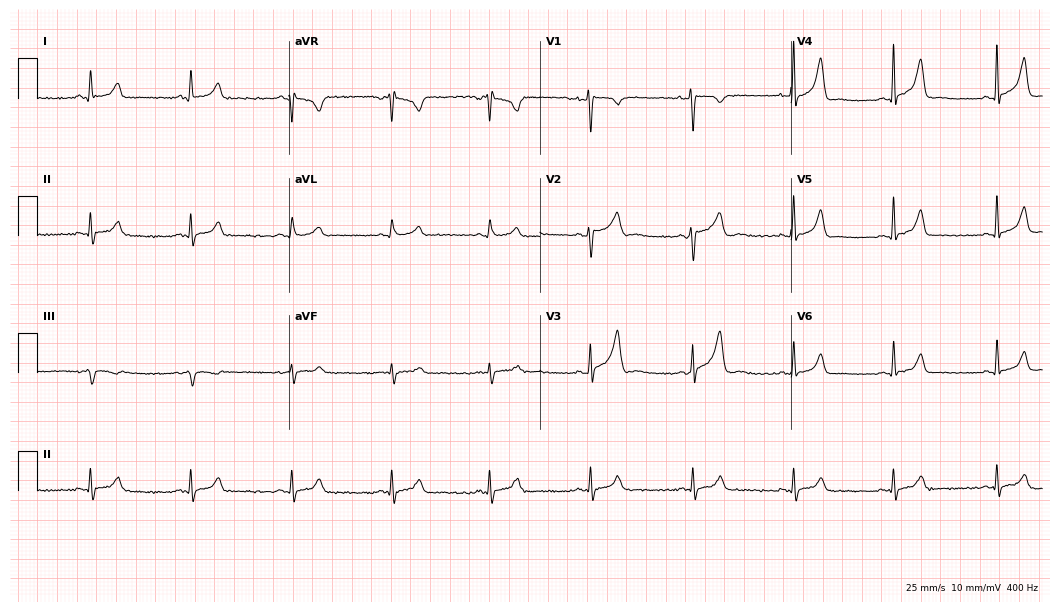
ECG — a 24-year-old woman. Screened for six findings — first-degree AV block, right bundle branch block (RBBB), left bundle branch block (LBBB), sinus bradycardia, atrial fibrillation (AF), sinus tachycardia — none is recorded. Findings outside these six are not listed.